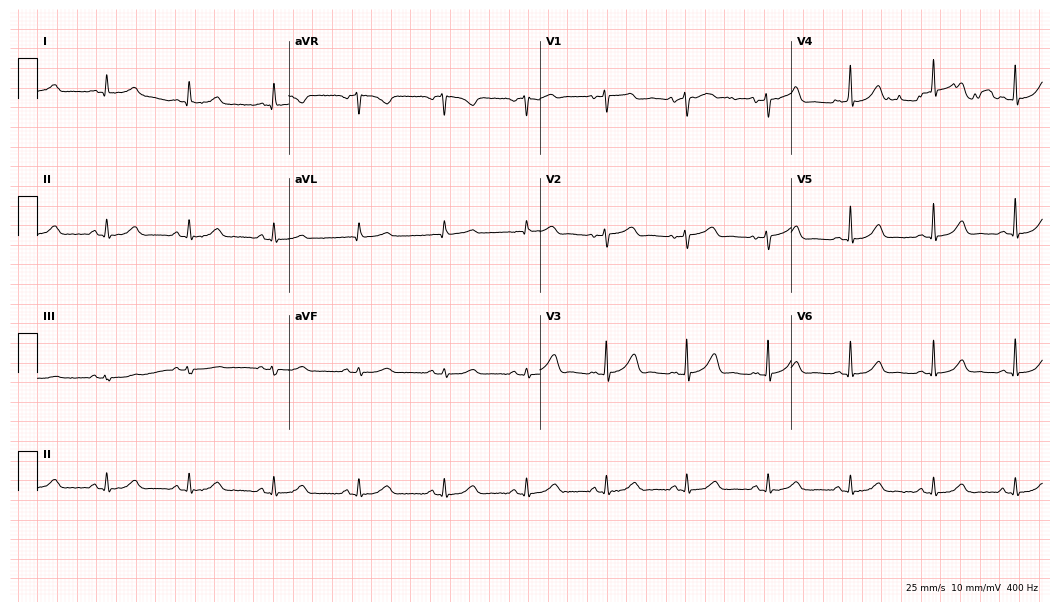
Resting 12-lead electrocardiogram (10.2-second recording at 400 Hz). Patient: a 47-year-old female. Read as a normal ECG.